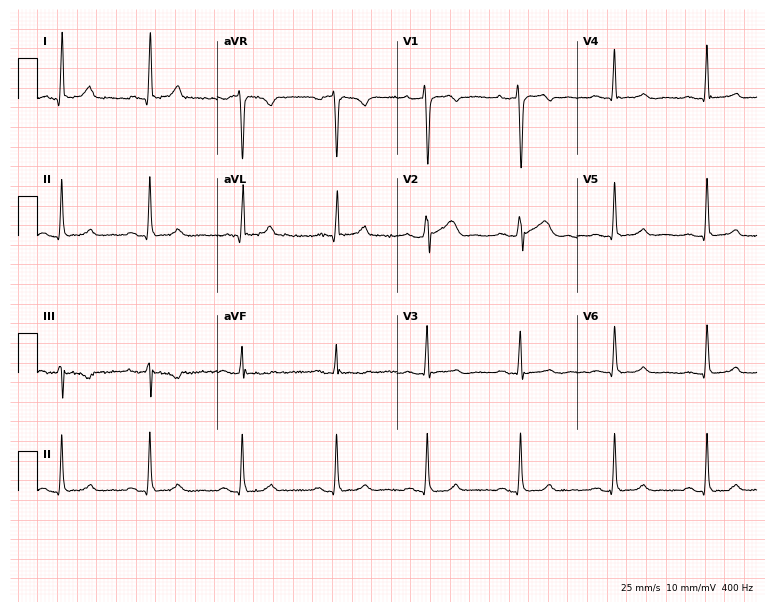
12-lead ECG (7.3-second recording at 400 Hz) from a male patient, 31 years old. Labelled as a normal ECG.